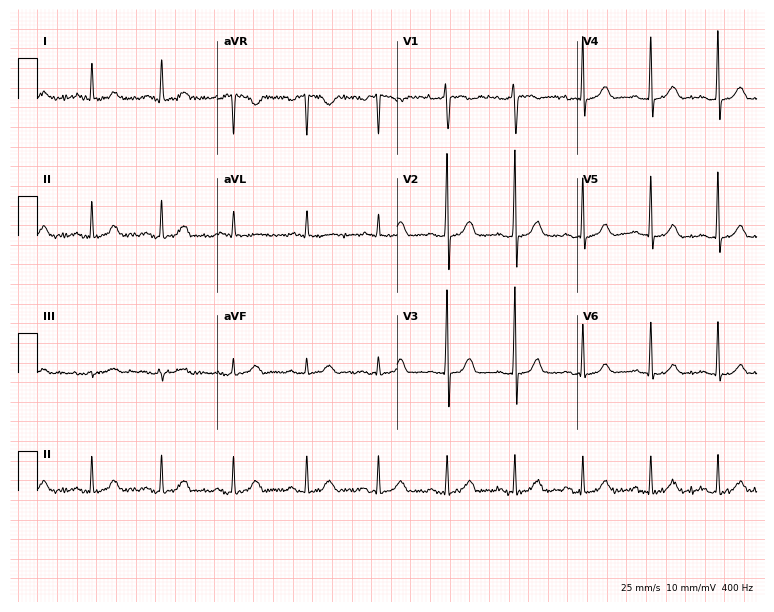
12-lead ECG from a 52-year-old male (7.3-second recording at 400 Hz). Recorded interpretation: within normal limits.